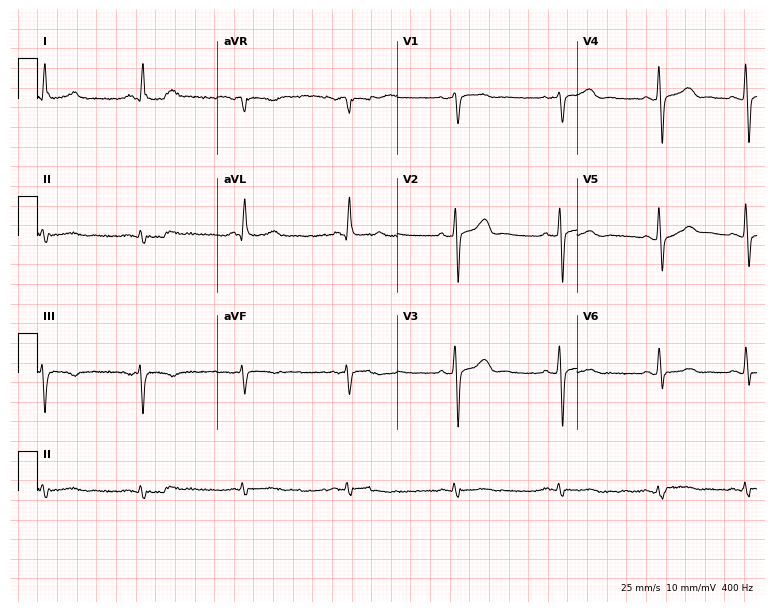
12-lead ECG (7.3-second recording at 400 Hz) from a 71-year-old male. Labelled as a normal ECG.